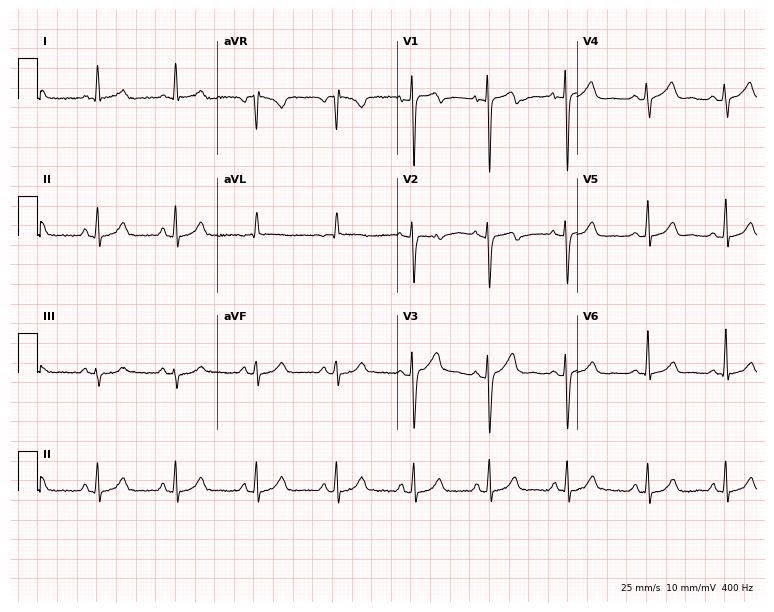
ECG — a 32-year-old woman. Labelled as a normal ECG.